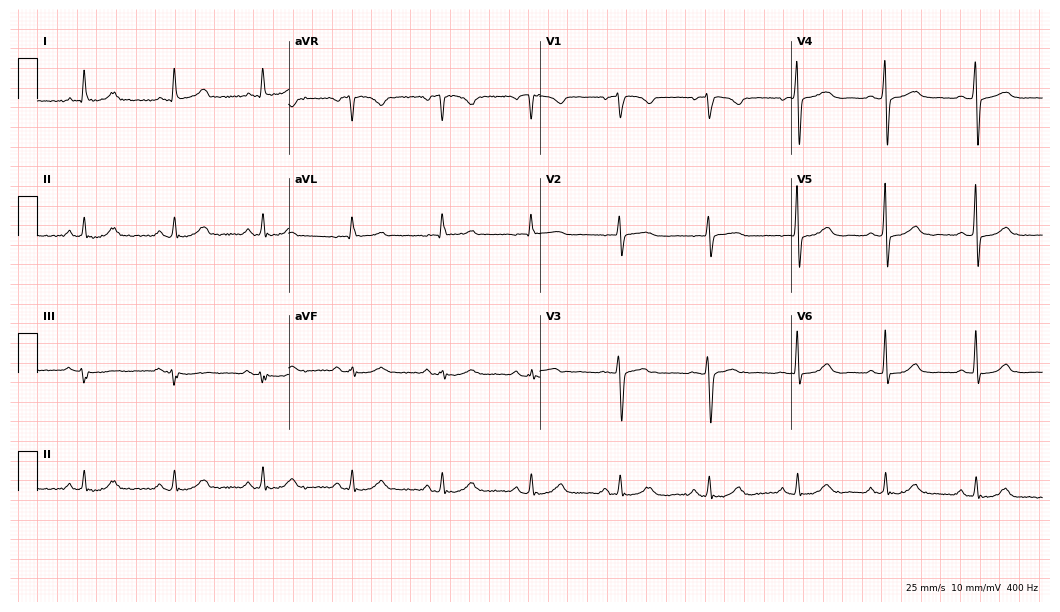
12-lead ECG from a 64-year-old female. Labelled as a normal ECG.